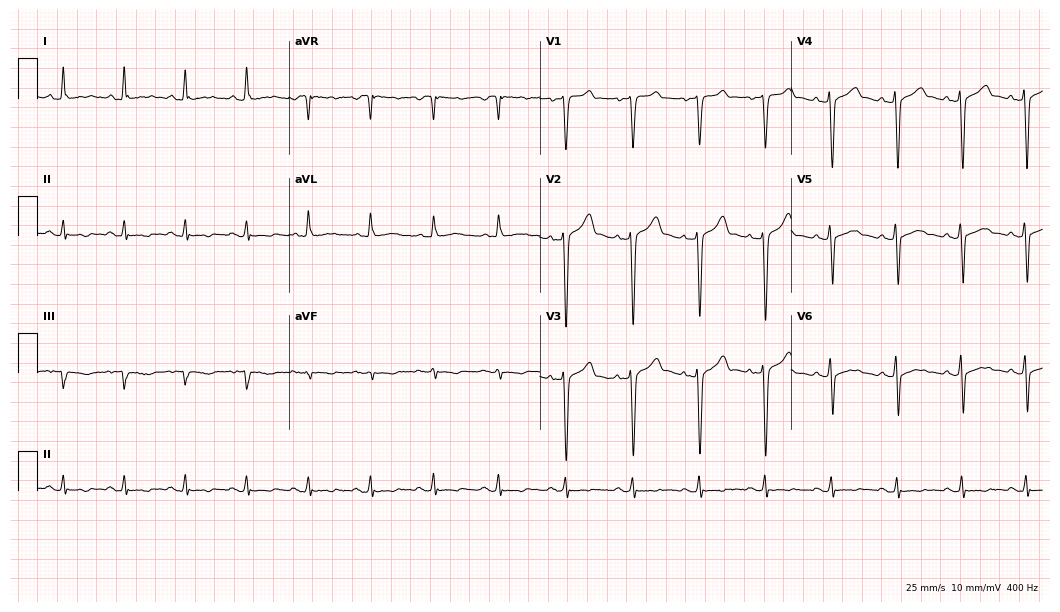
Standard 12-lead ECG recorded from a male patient, 40 years old. None of these six findings is recorded: first-degree AV block, right bundle branch block, left bundle branch block, sinus bradycardia, atrial fibrillation, sinus tachycardia.